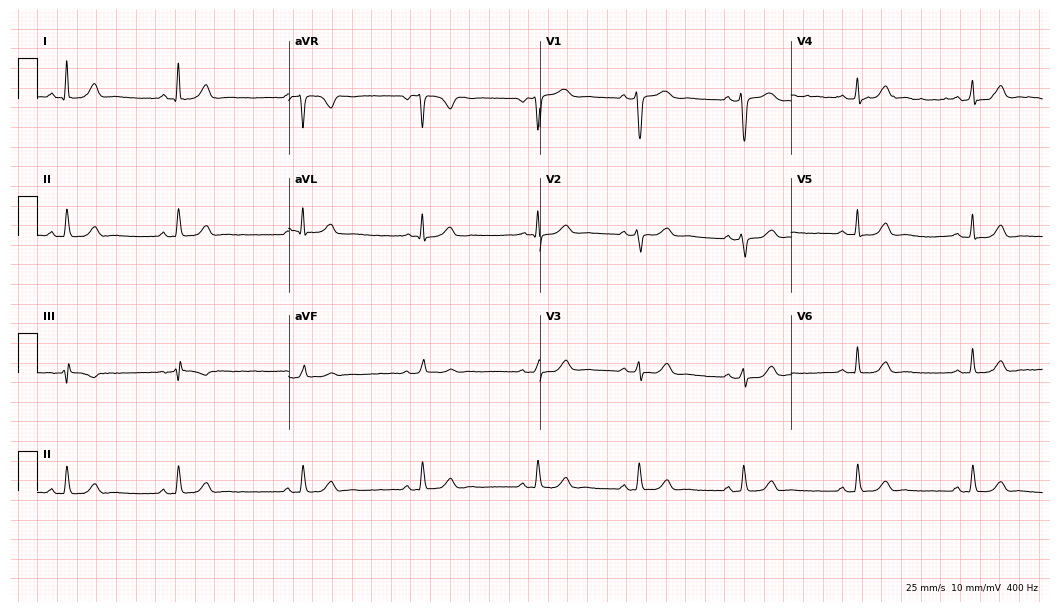
Standard 12-lead ECG recorded from a 40-year-old female (10.2-second recording at 400 Hz). Read as a normal ECG.